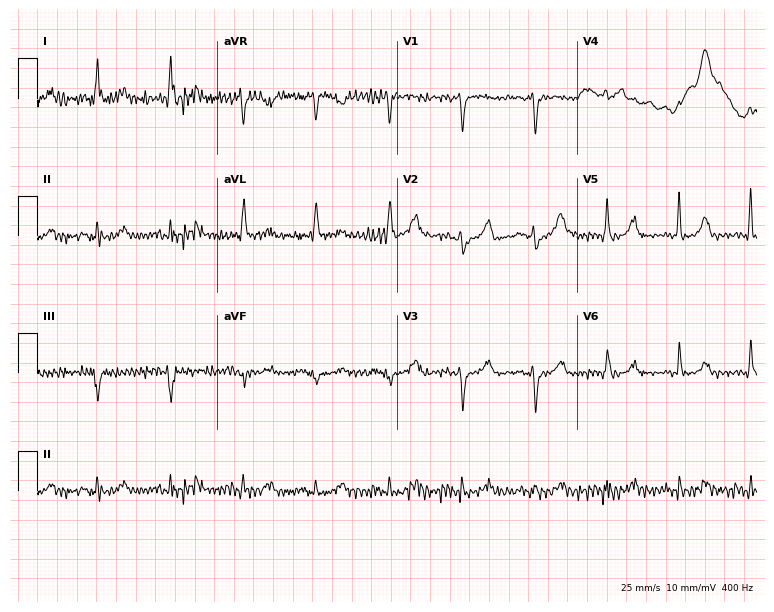
Standard 12-lead ECG recorded from a 78-year-old female (7.3-second recording at 400 Hz). None of these six findings is recorded: first-degree AV block, right bundle branch block, left bundle branch block, sinus bradycardia, atrial fibrillation, sinus tachycardia.